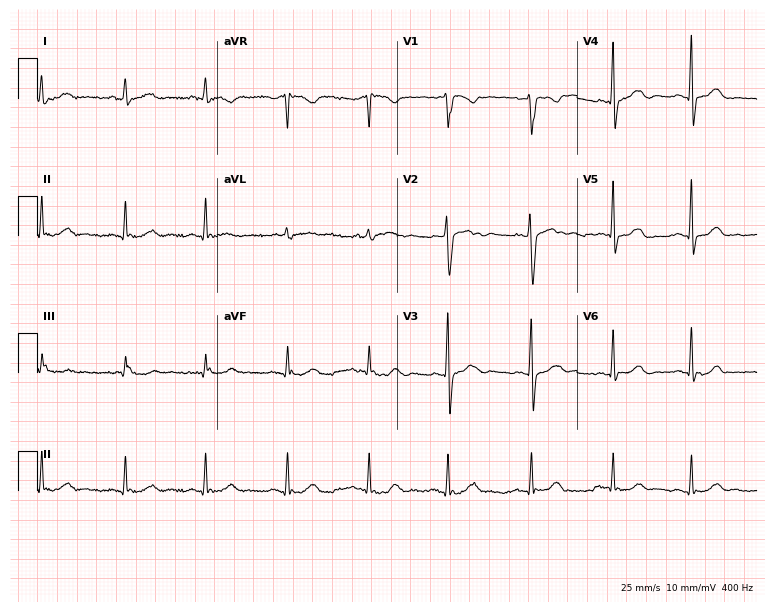
12-lead ECG from a 45-year-old female. Labelled as a normal ECG.